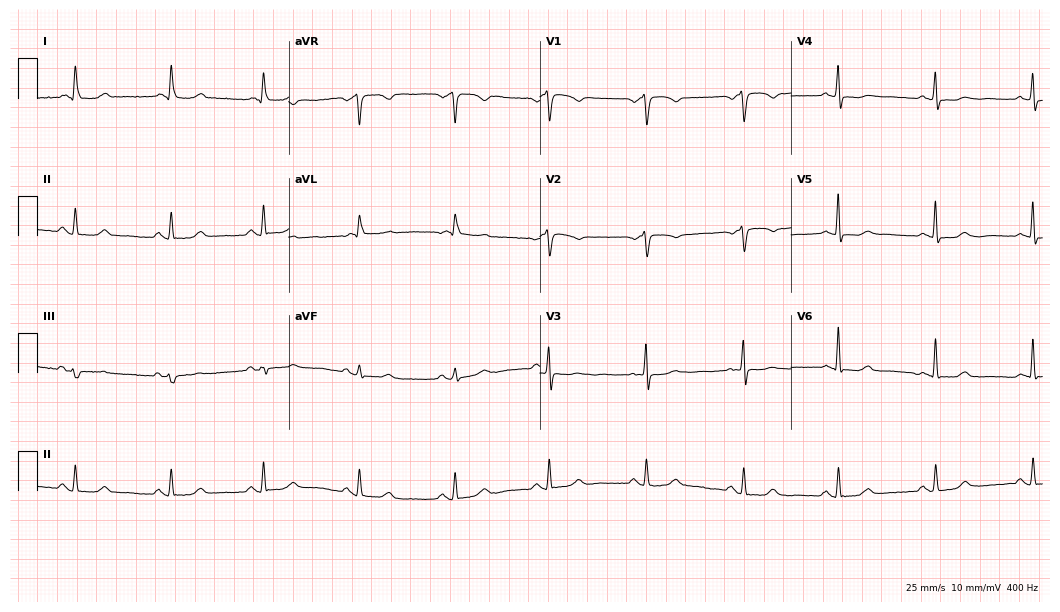
Standard 12-lead ECG recorded from a 69-year-old woman (10.2-second recording at 400 Hz). Read as a normal ECG.